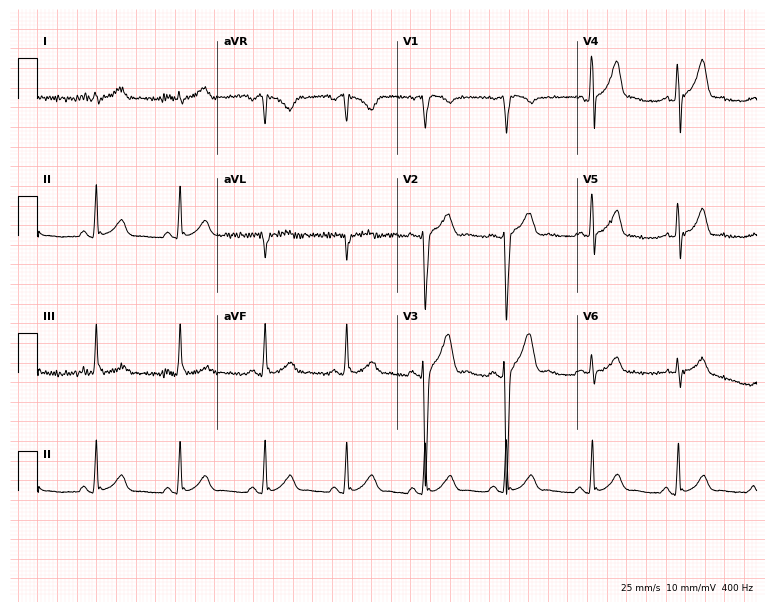
12-lead ECG from a man, 17 years old. Recorded interpretation: within normal limits.